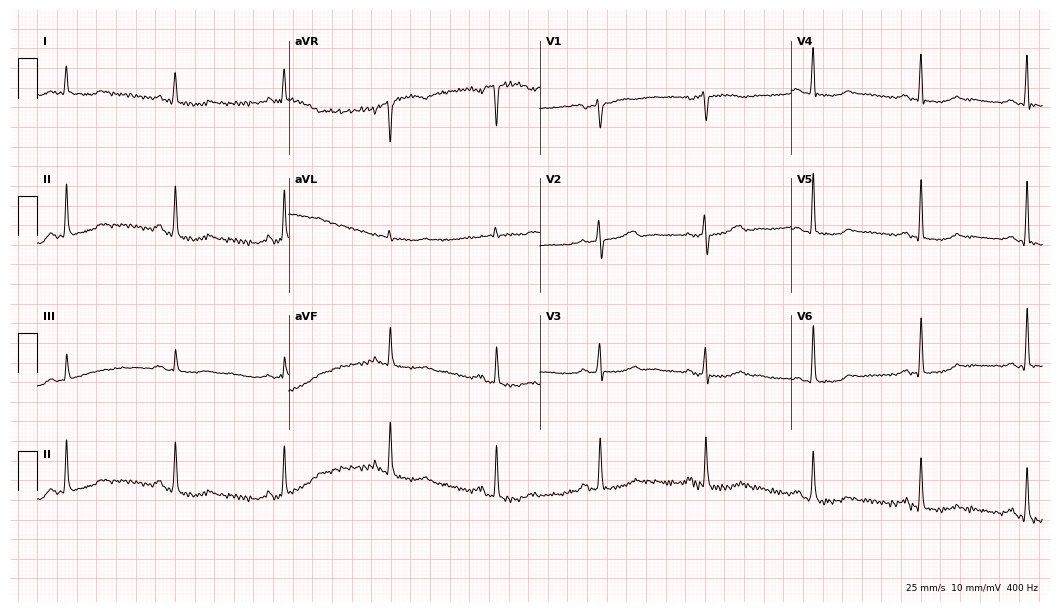
12-lead ECG from a female patient, 74 years old. Screened for six findings — first-degree AV block, right bundle branch block, left bundle branch block, sinus bradycardia, atrial fibrillation, sinus tachycardia — none is recorded. Only these six findings were labelled.